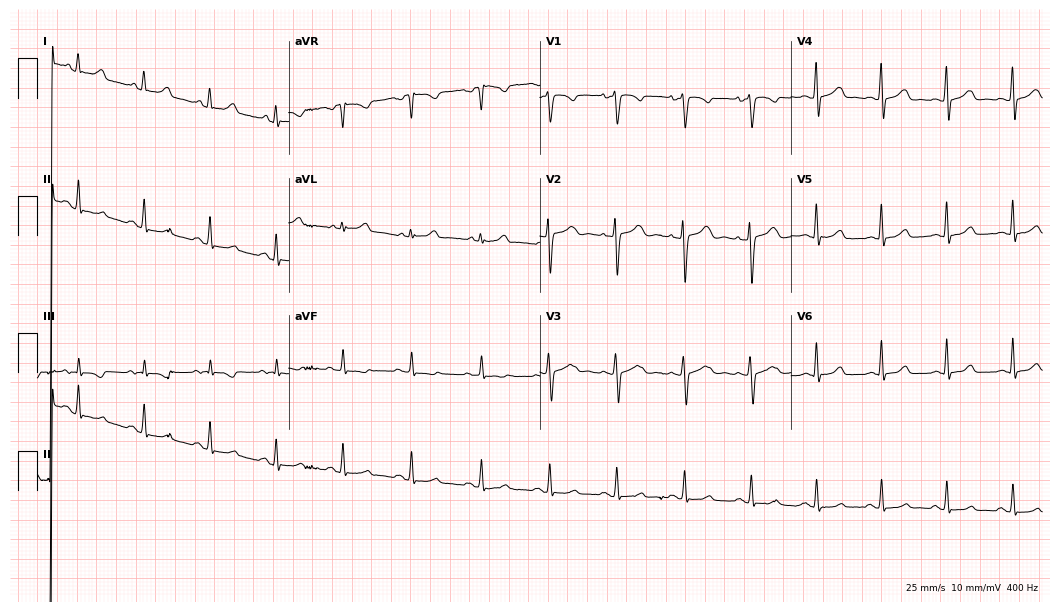
ECG (10.2-second recording at 400 Hz) — a 22-year-old woman. Screened for six findings — first-degree AV block, right bundle branch block, left bundle branch block, sinus bradycardia, atrial fibrillation, sinus tachycardia — none is recorded. Other findings, if any, are not listed.